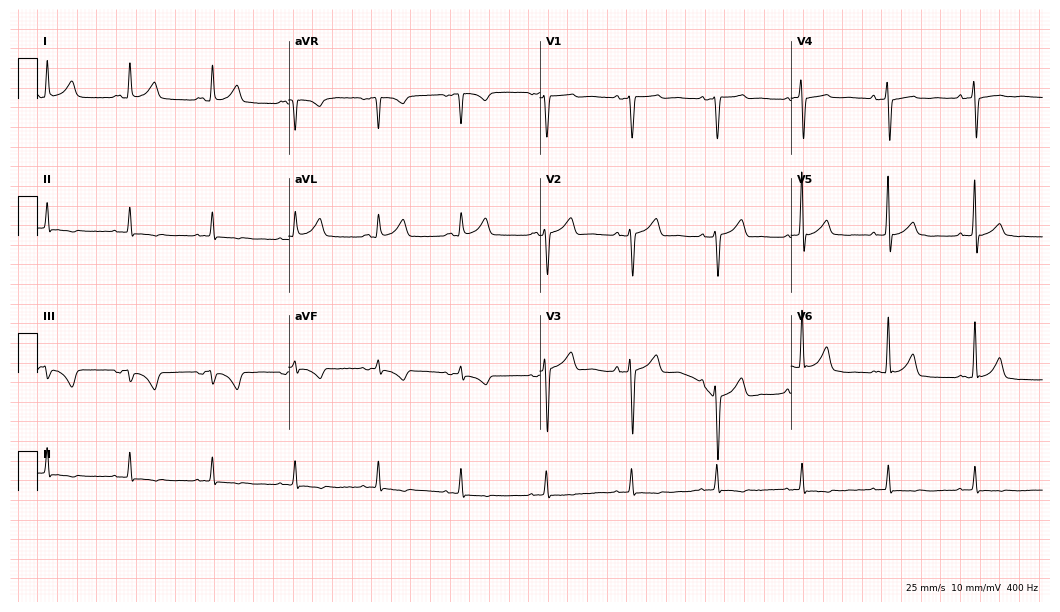
Standard 12-lead ECG recorded from a male, 73 years old (10.2-second recording at 400 Hz). Read as a normal ECG.